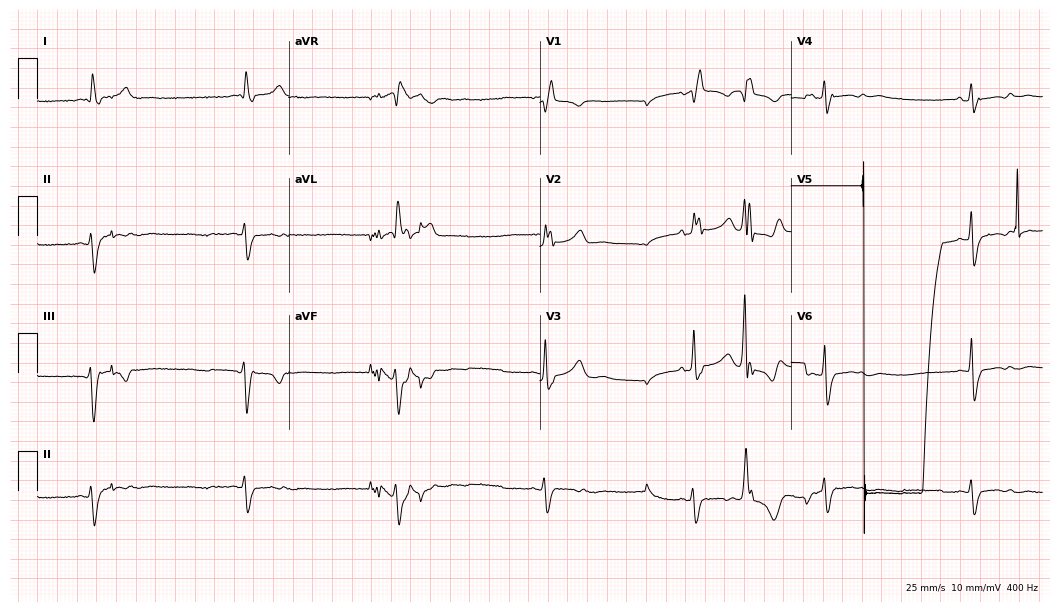
12-lead ECG from a 71-year-old female patient. Screened for six findings — first-degree AV block, right bundle branch block, left bundle branch block, sinus bradycardia, atrial fibrillation, sinus tachycardia — none is recorded. Other findings, if any, are not listed.